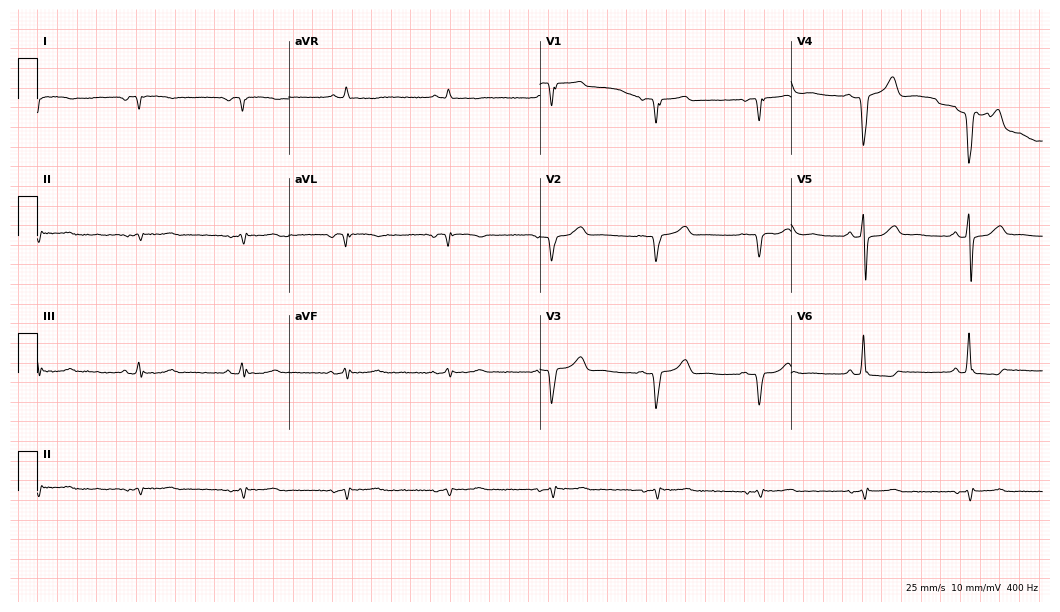
ECG (10.2-second recording at 400 Hz) — a man, 71 years old. Screened for six findings — first-degree AV block, right bundle branch block, left bundle branch block, sinus bradycardia, atrial fibrillation, sinus tachycardia — none is recorded.